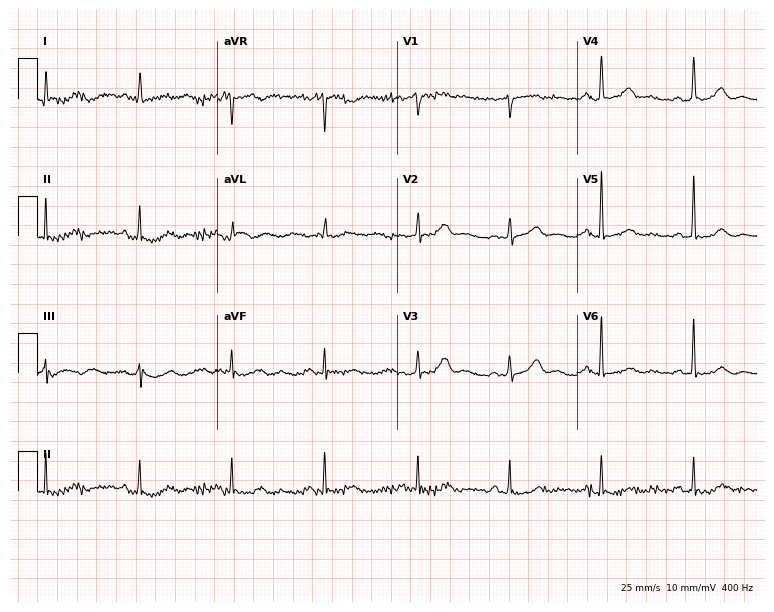
Electrocardiogram, a 76-year-old man. Overall reading on record: normal ECG.